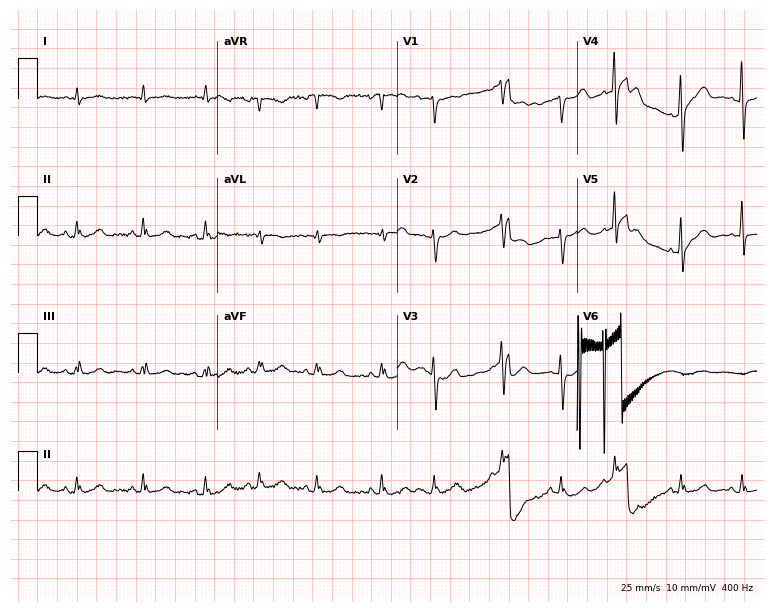
ECG — an 83-year-old male patient. Screened for six findings — first-degree AV block, right bundle branch block, left bundle branch block, sinus bradycardia, atrial fibrillation, sinus tachycardia — none is recorded.